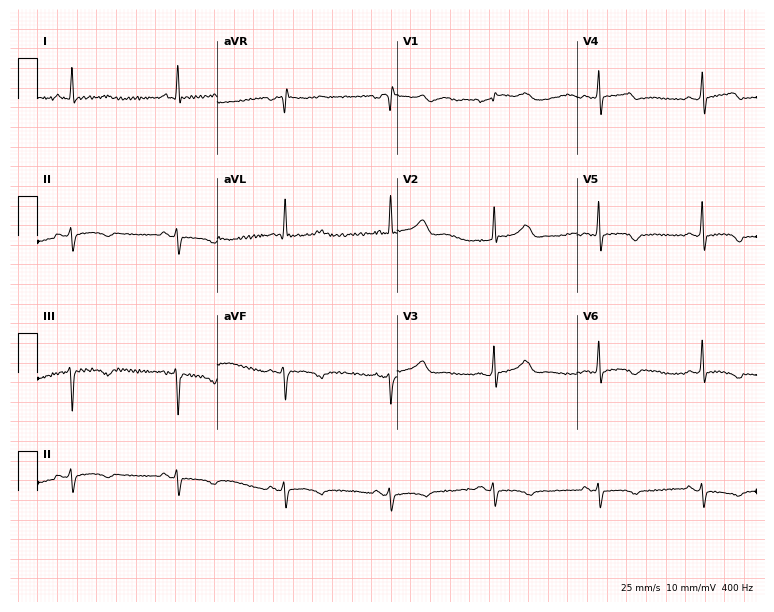
12-lead ECG from a woman, 72 years old. No first-degree AV block, right bundle branch block (RBBB), left bundle branch block (LBBB), sinus bradycardia, atrial fibrillation (AF) or sinus tachycardia recorded for this tracing. Only these six findings were labelled.